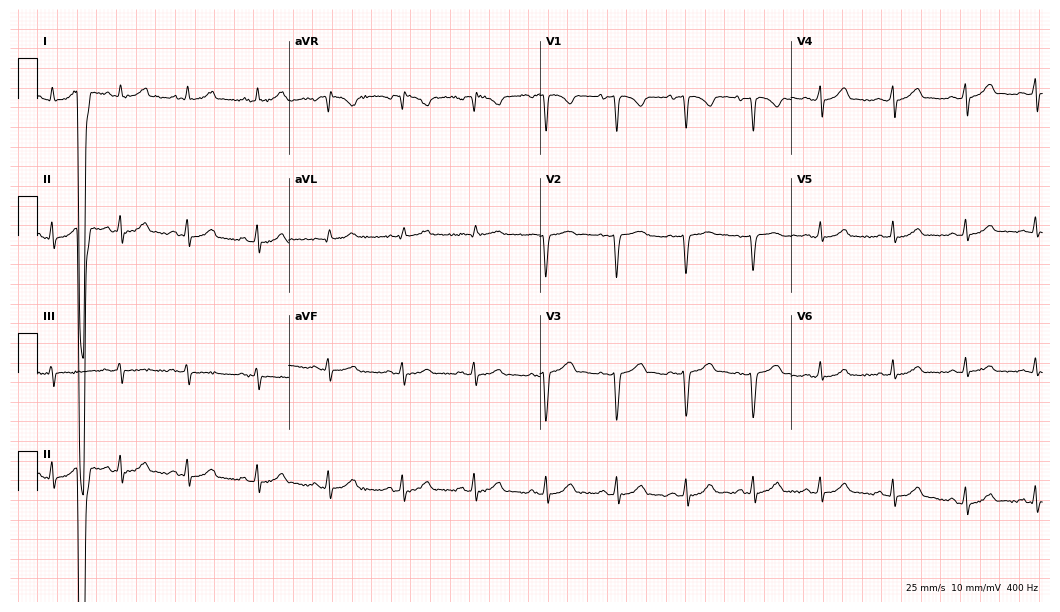
Electrocardiogram (10.2-second recording at 400 Hz), a 32-year-old female. Of the six screened findings (first-degree AV block, right bundle branch block (RBBB), left bundle branch block (LBBB), sinus bradycardia, atrial fibrillation (AF), sinus tachycardia), none is recorded.